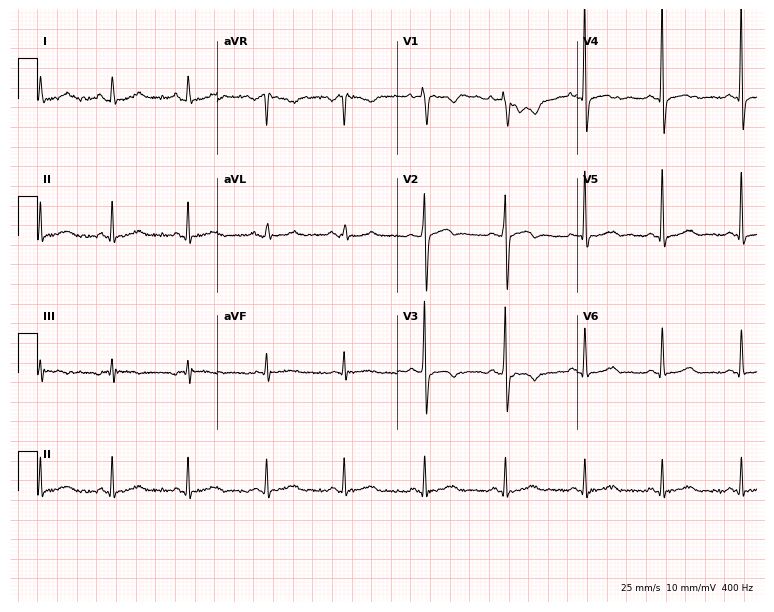
12-lead ECG from a female, 48 years old (7.3-second recording at 400 Hz). No first-degree AV block, right bundle branch block, left bundle branch block, sinus bradycardia, atrial fibrillation or sinus tachycardia recorded for this tracing.